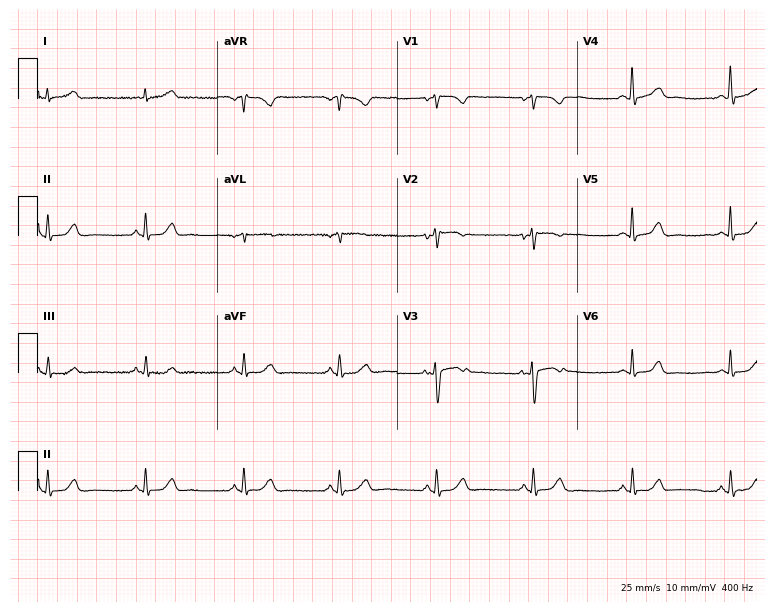
Electrocardiogram, a 57-year-old female. Overall reading on record: normal ECG.